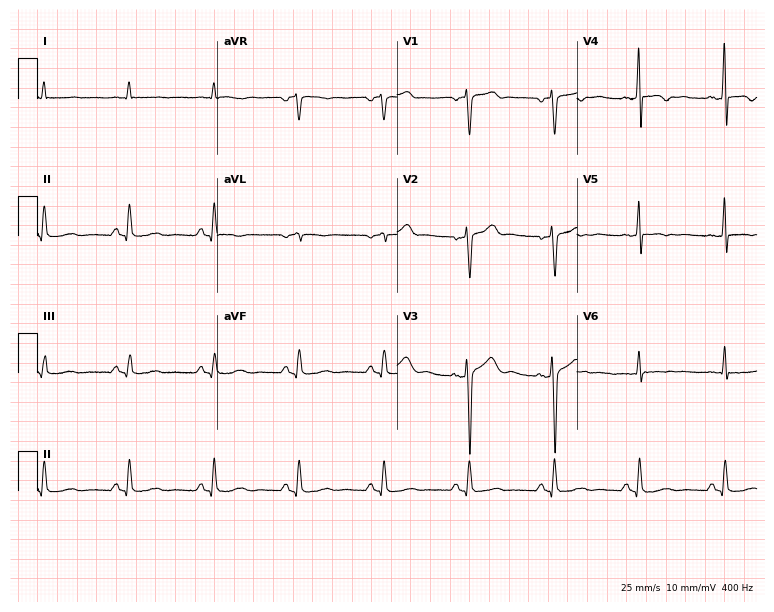
Resting 12-lead electrocardiogram. Patient: a man, 52 years old. None of these six findings is recorded: first-degree AV block, right bundle branch block (RBBB), left bundle branch block (LBBB), sinus bradycardia, atrial fibrillation (AF), sinus tachycardia. Findings outside these six are not listed.